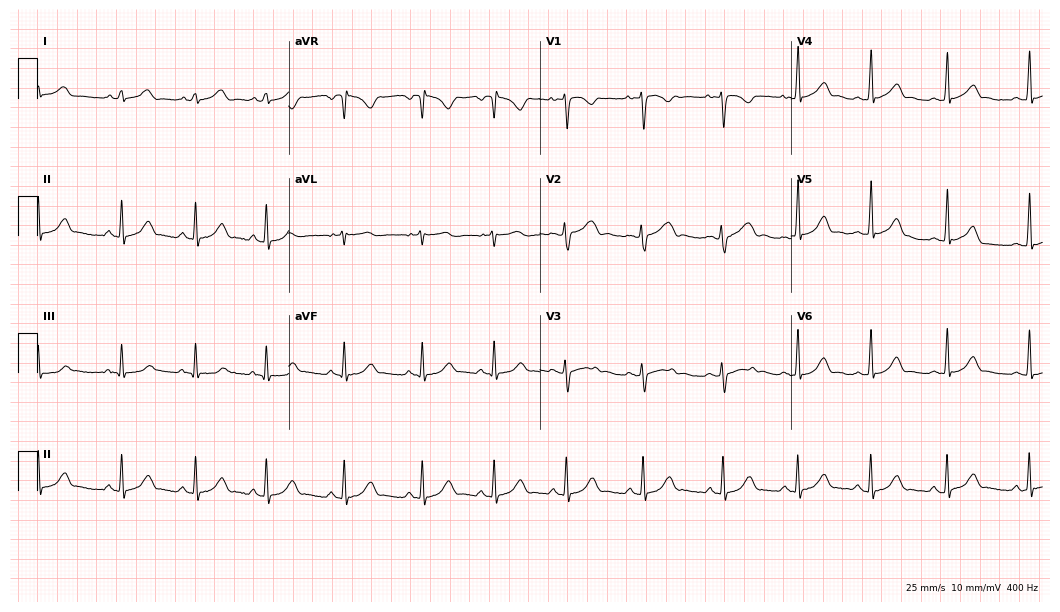
ECG — an 18-year-old woman. Labelled as a normal ECG.